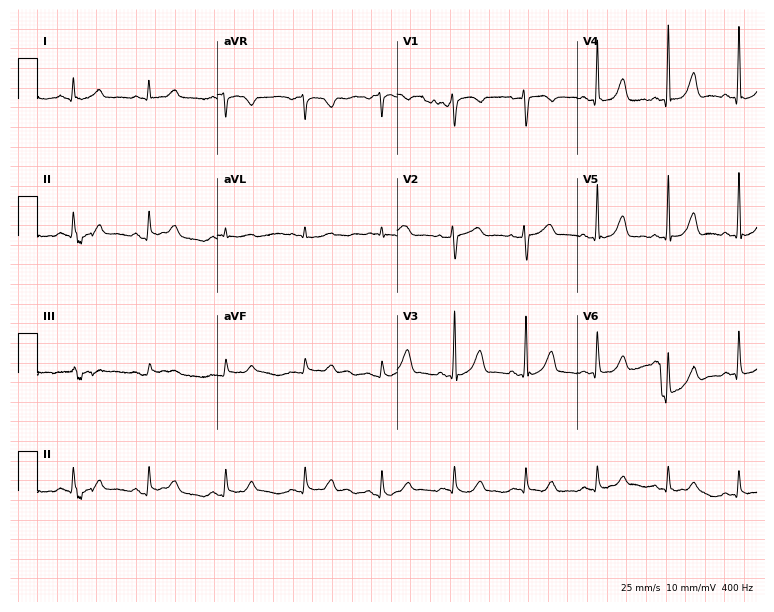
12-lead ECG from a woman, 44 years old. No first-degree AV block, right bundle branch block, left bundle branch block, sinus bradycardia, atrial fibrillation or sinus tachycardia recorded for this tracing. Other findings, if any, are not listed.